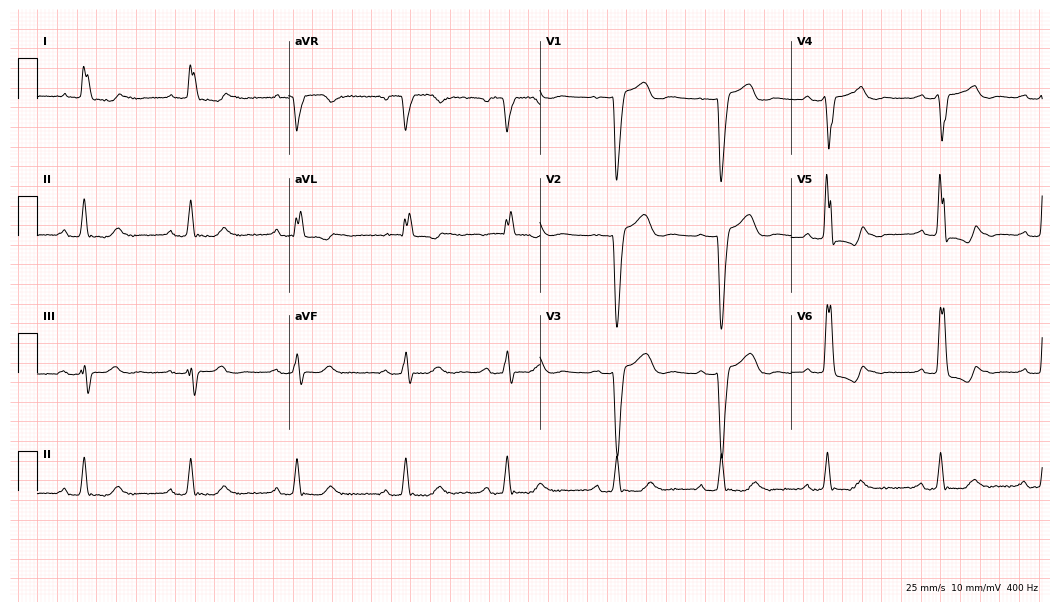
12-lead ECG from an 80-year-old female. Shows first-degree AV block, left bundle branch block.